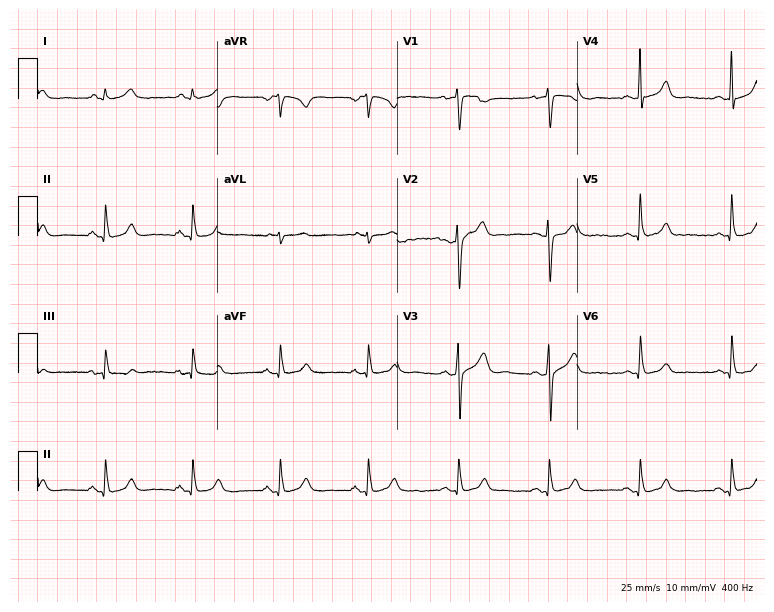
12-lead ECG (7.3-second recording at 400 Hz) from a male patient, 42 years old. Labelled as a normal ECG.